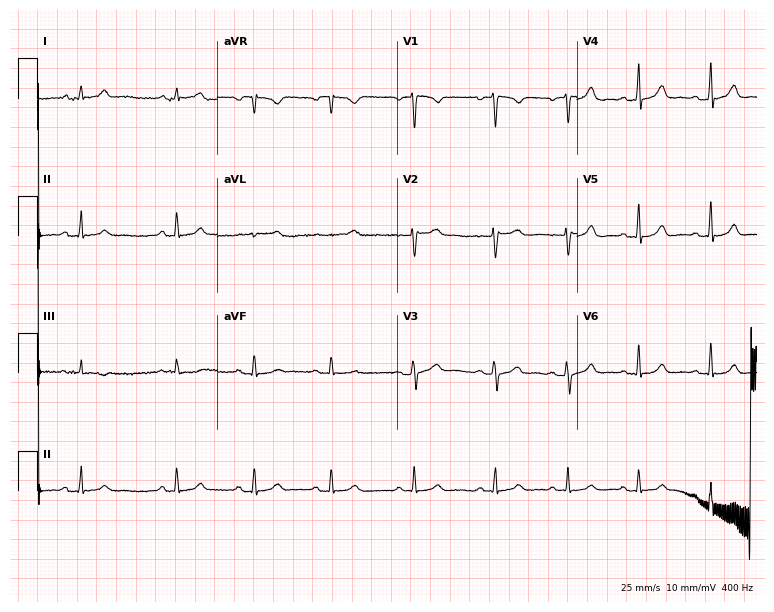
Electrocardiogram (7.3-second recording at 400 Hz), a female, 24 years old. Overall reading on record: normal ECG.